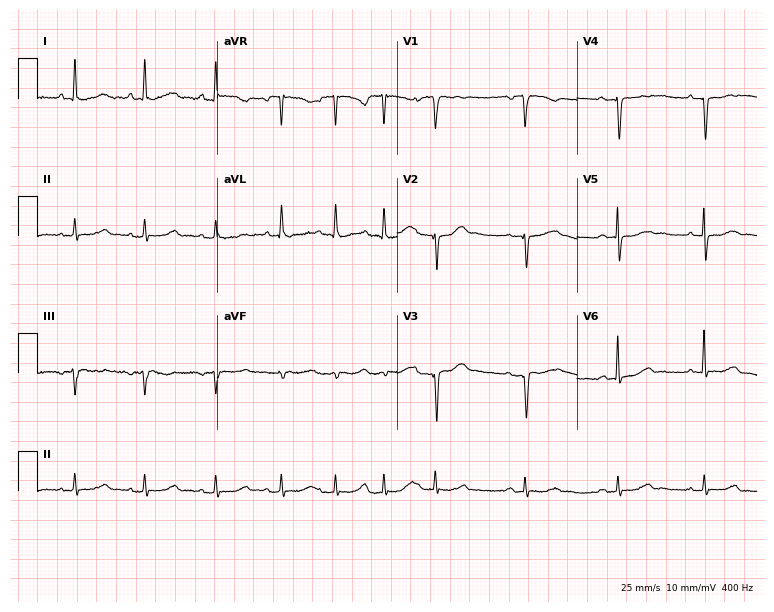
12-lead ECG from a 76-year-old woman (7.3-second recording at 400 Hz). No first-degree AV block, right bundle branch block (RBBB), left bundle branch block (LBBB), sinus bradycardia, atrial fibrillation (AF) or sinus tachycardia recorded for this tracing.